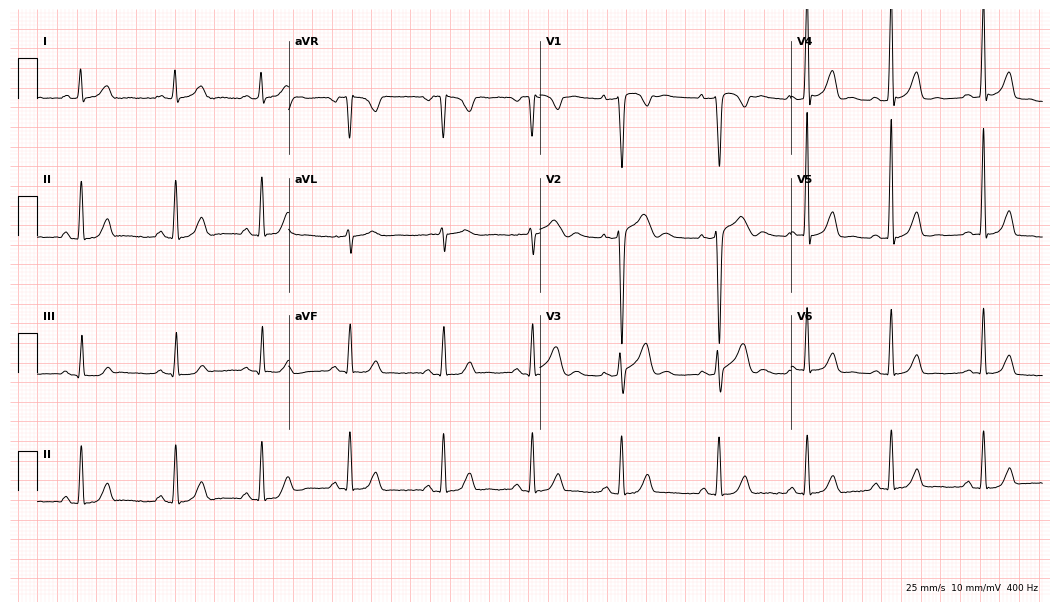
ECG — a female, 31 years old. Labelled as a normal ECG.